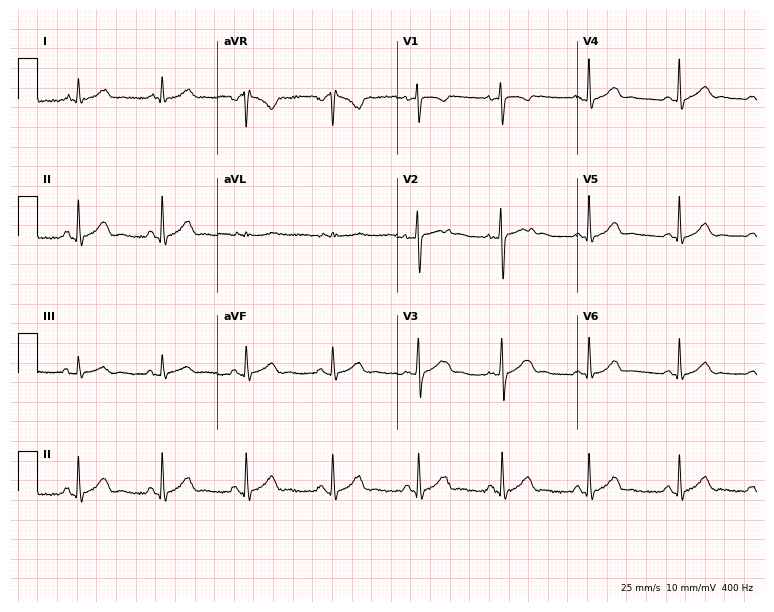
12-lead ECG from a 36-year-old woman. No first-degree AV block, right bundle branch block, left bundle branch block, sinus bradycardia, atrial fibrillation or sinus tachycardia recorded for this tracing. Other findings, if any, are not listed.